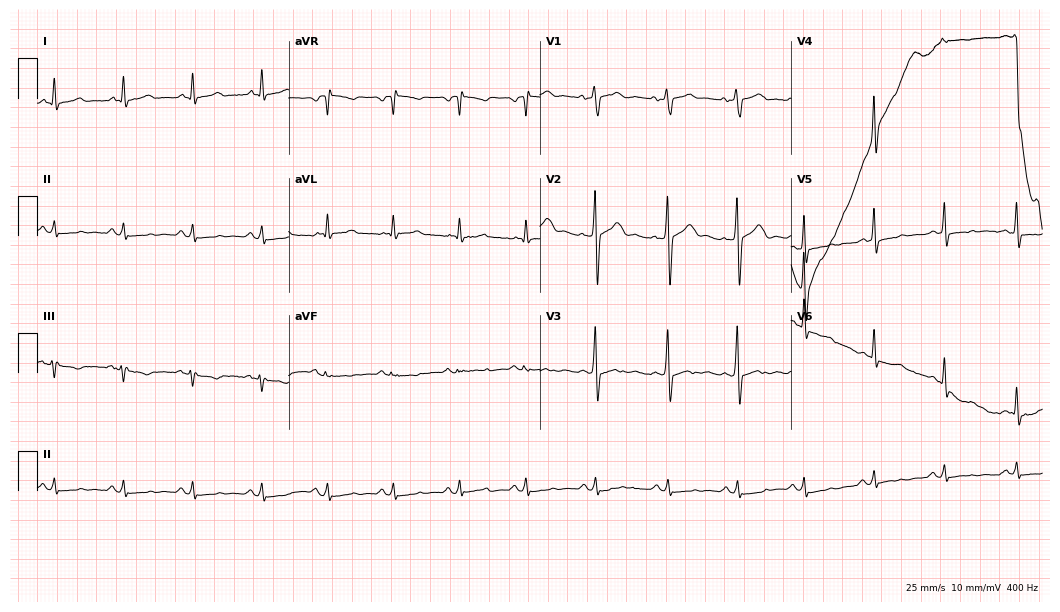
12-lead ECG from a 61-year-old male (10.2-second recording at 400 Hz). No first-degree AV block, right bundle branch block, left bundle branch block, sinus bradycardia, atrial fibrillation or sinus tachycardia recorded for this tracing. Only these six findings were labelled.